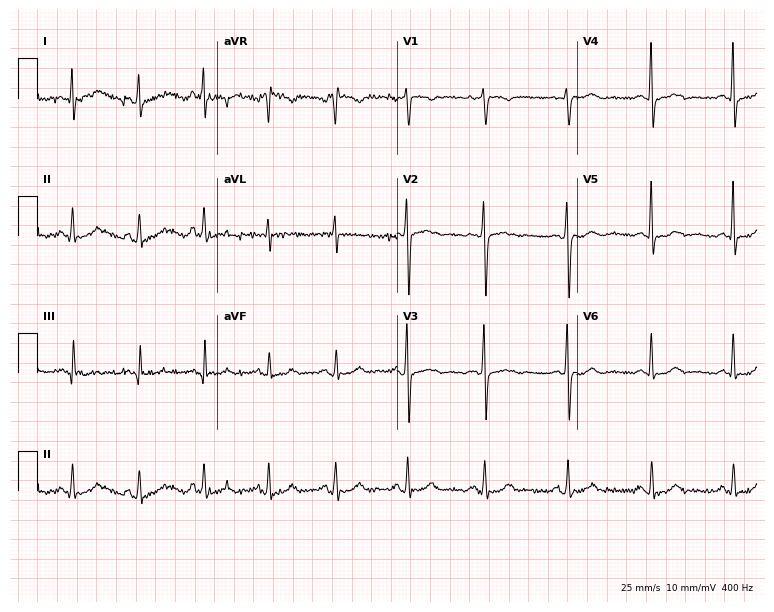
12-lead ECG from a 61-year-old female. No first-degree AV block, right bundle branch block, left bundle branch block, sinus bradycardia, atrial fibrillation or sinus tachycardia recorded for this tracing.